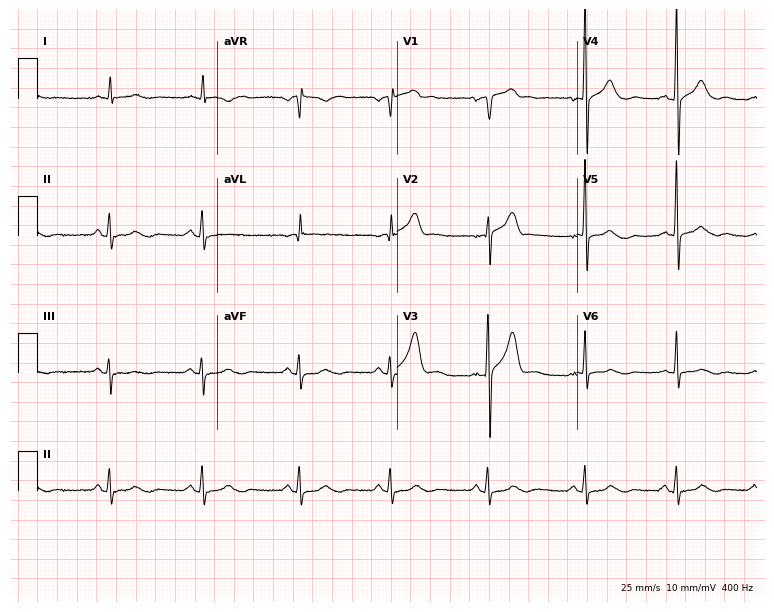
Electrocardiogram, a 76-year-old male patient. Of the six screened findings (first-degree AV block, right bundle branch block (RBBB), left bundle branch block (LBBB), sinus bradycardia, atrial fibrillation (AF), sinus tachycardia), none is recorded. Findings outside these six are not listed.